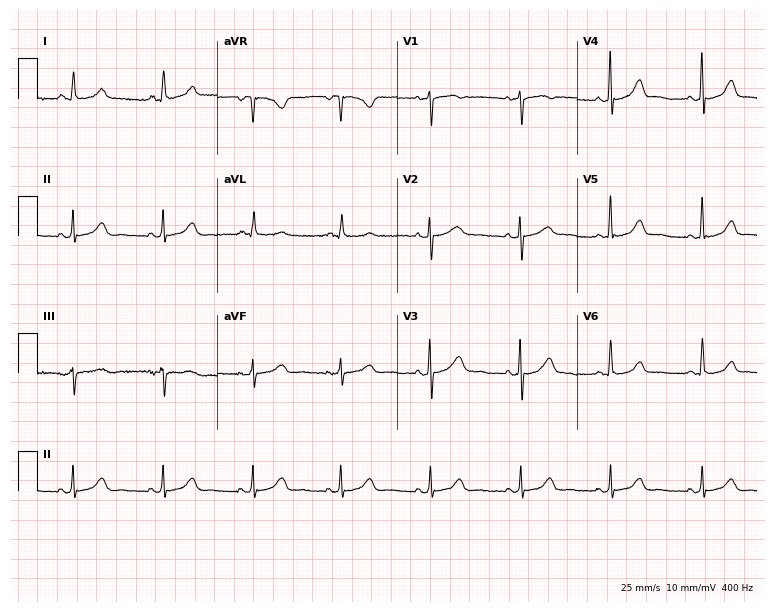
12-lead ECG from a 49-year-old female patient. No first-degree AV block, right bundle branch block, left bundle branch block, sinus bradycardia, atrial fibrillation or sinus tachycardia recorded for this tracing.